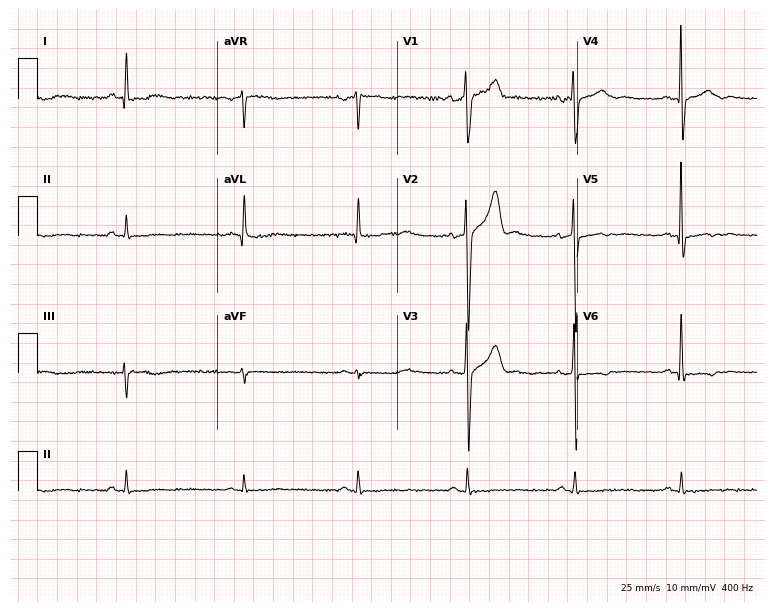
ECG (7.3-second recording at 400 Hz) — a male patient, 55 years old. Labelled as a normal ECG.